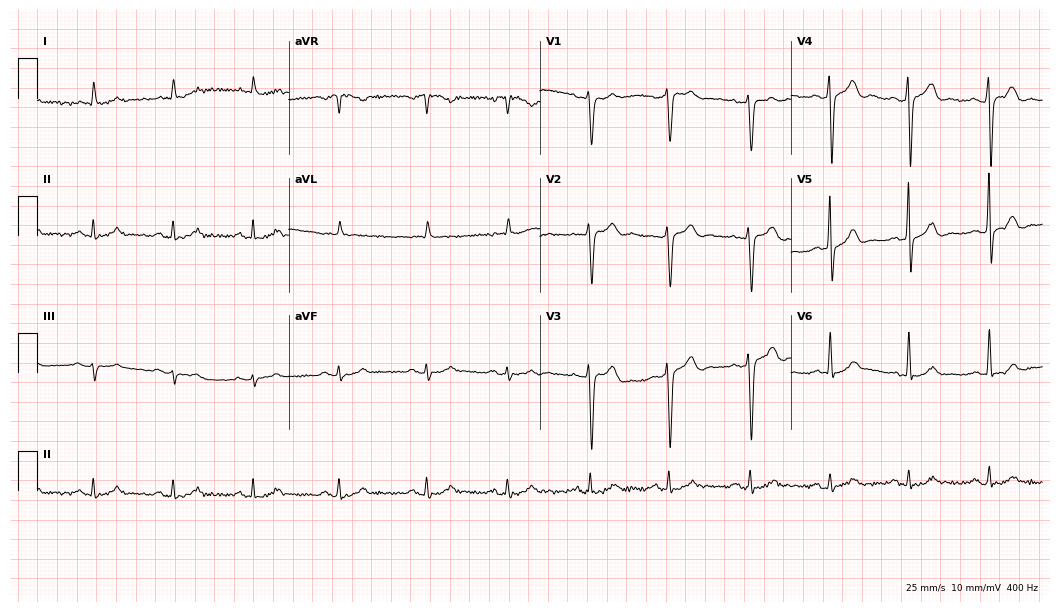
12-lead ECG (10.2-second recording at 400 Hz) from a male, 74 years old. Labelled as a normal ECG.